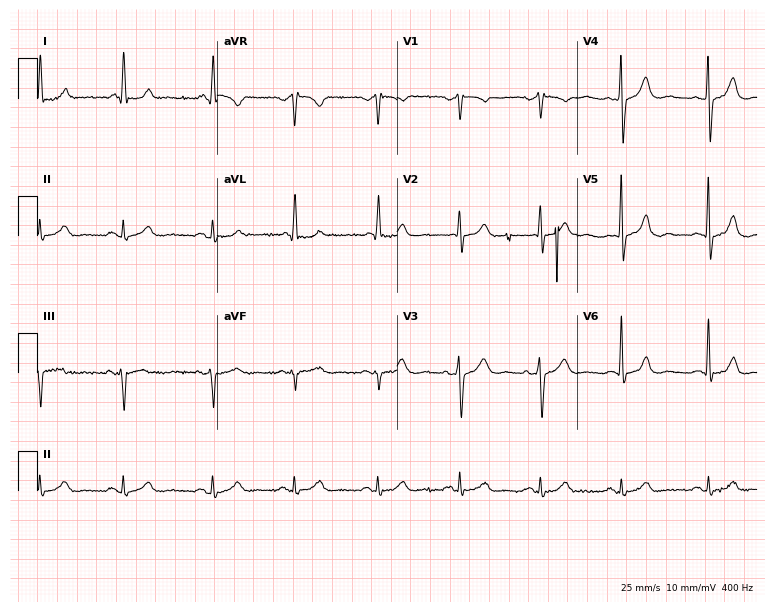
Resting 12-lead electrocardiogram (7.3-second recording at 400 Hz). Patient: a male, 74 years old. None of these six findings is recorded: first-degree AV block, right bundle branch block, left bundle branch block, sinus bradycardia, atrial fibrillation, sinus tachycardia. Other findings, if any, are not listed.